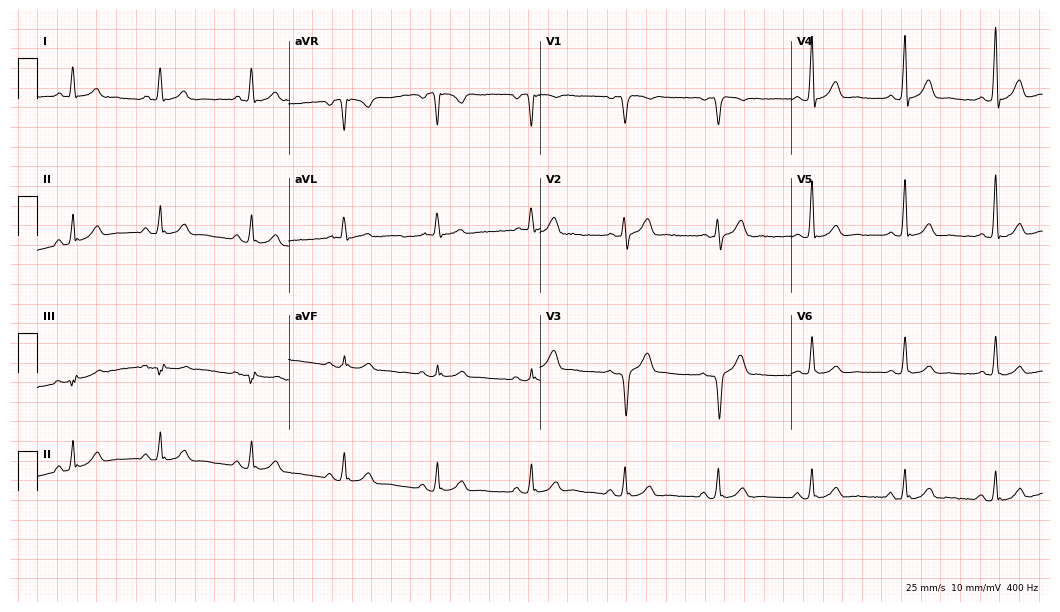
ECG (10.2-second recording at 400 Hz) — a 53-year-old male patient. Screened for six findings — first-degree AV block, right bundle branch block (RBBB), left bundle branch block (LBBB), sinus bradycardia, atrial fibrillation (AF), sinus tachycardia — none is recorded.